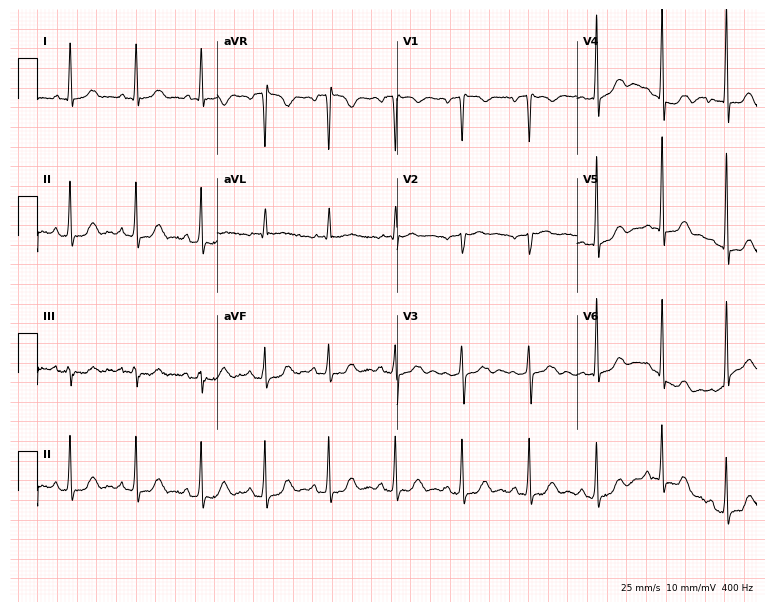
12-lead ECG from a woman, 55 years old (7.3-second recording at 400 Hz). Recorded interpretation: within normal limits.